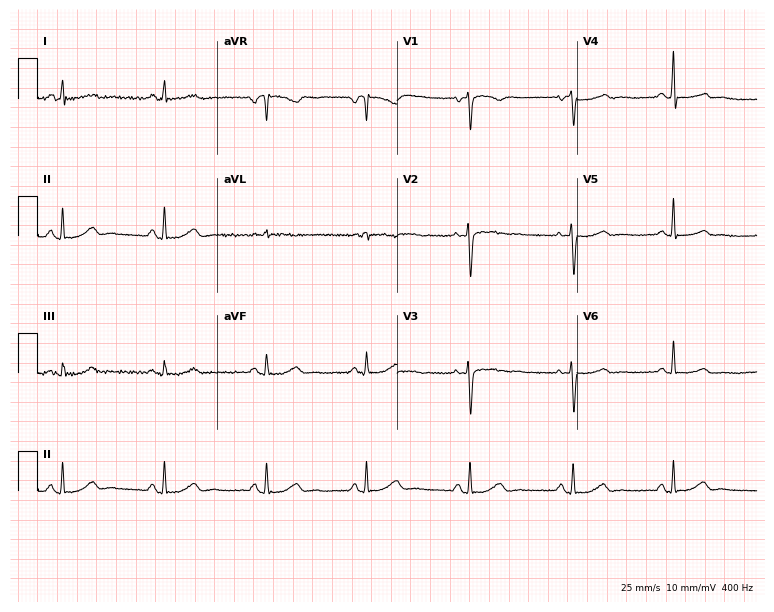
12-lead ECG from a 57-year-old female. Labelled as a normal ECG.